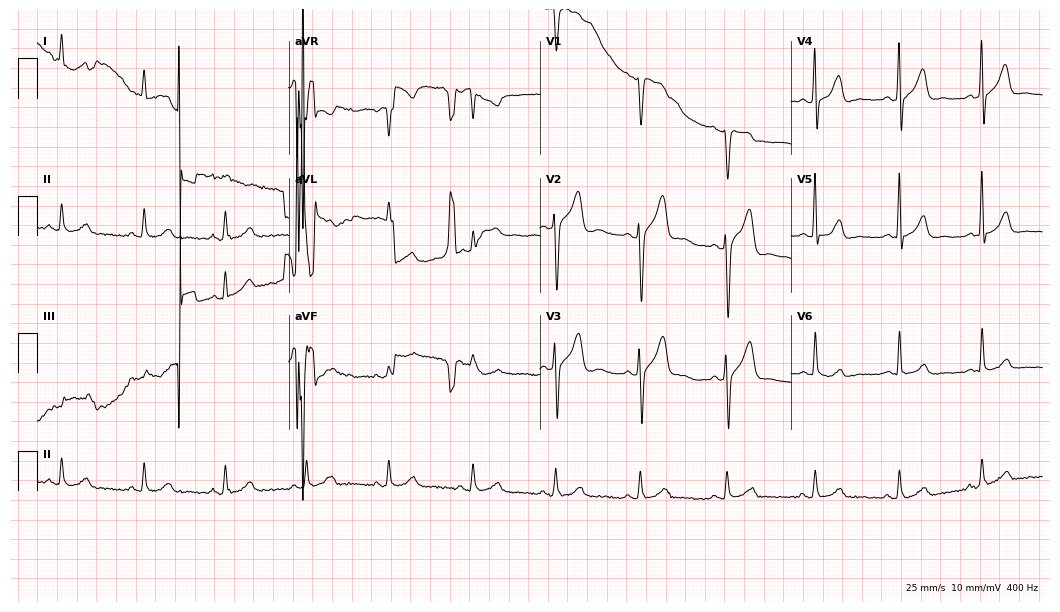
Standard 12-lead ECG recorded from a male patient, 39 years old (10.2-second recording at 400 Hz). Read as a normal ECG.